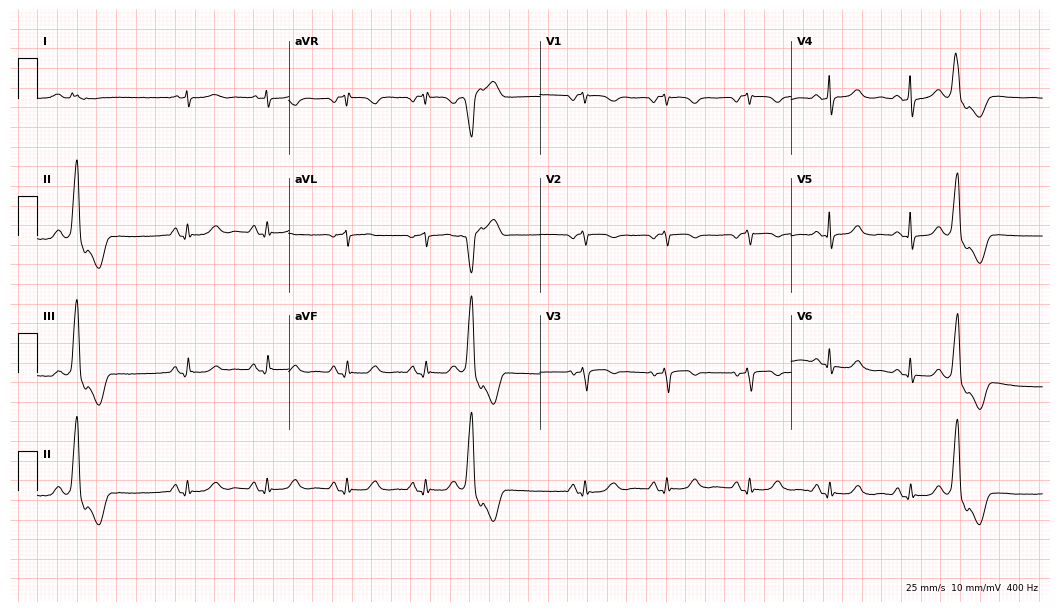
12-lead ECG (10.2-second recording at 400 Hz) from a woman, 74 years old. Screened for six findings — first-degree AV block, right bundle branch block, left bundle branch block, sinus bradycardia, atrial fibrillation, sinus tachycardia — none is recorded. Findings outside these six are not listed.